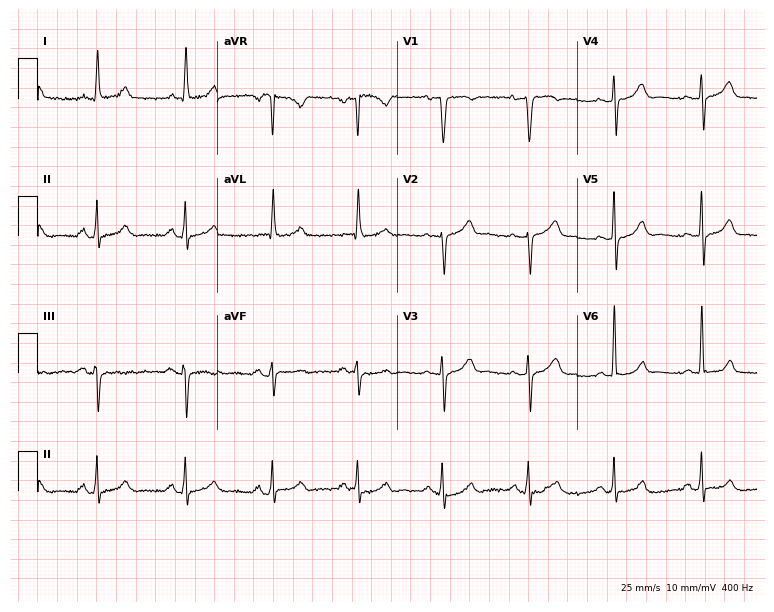
Electrocardiogram (7.3-second recording at 400 Hz), a 62-year-old woman. Overall reading on record: normal ECG.